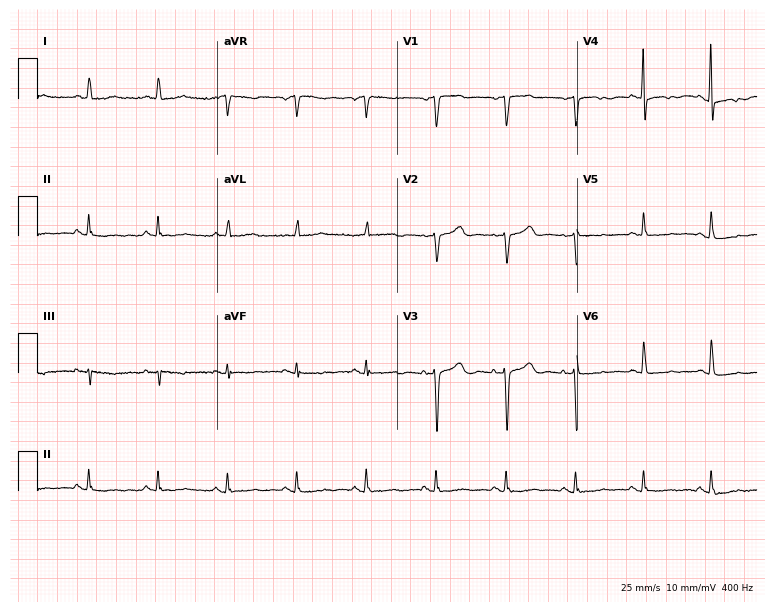
12-lead ECG from a 79-year-old woman. No first-degree AV block, right bundle branch block, left bundle branch block, sinus bradycardia, atrial fibrillation or sinus tachycardia recorded for this tracing.